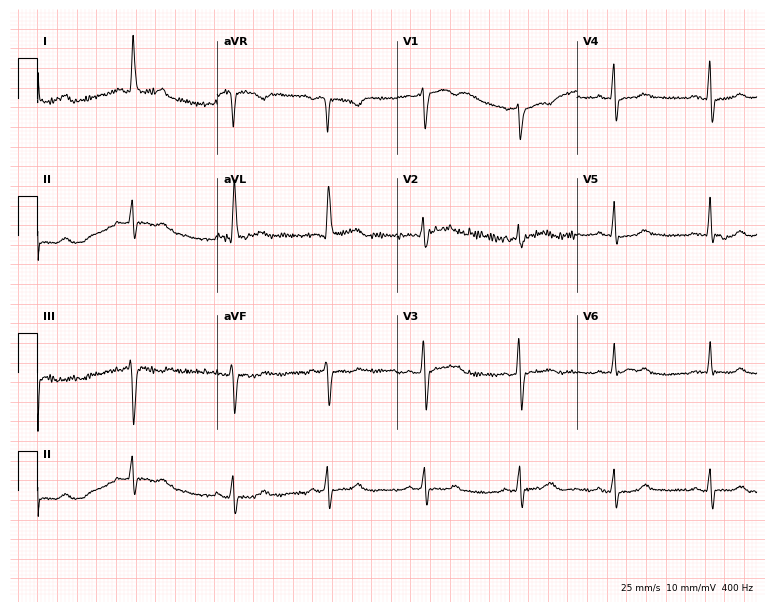
12-lead ECG (7.3-second recording at 400 Hz) from a female patient, 55 years old. Labelled as a normal ECG.